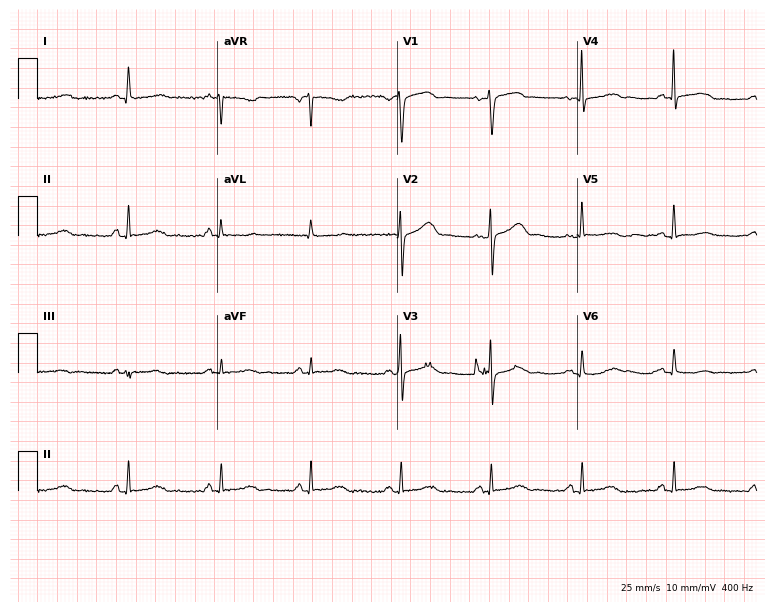
Standard 12-lead ECG recorded from a 63-year-old woman (7.3-second recording at 400 Hz). None of these six findings is recorded: first-degree AV block, right bundle branch block, left bundle branch block, sinus bradycardia, atrial fibrillation, sinus tachycardia.